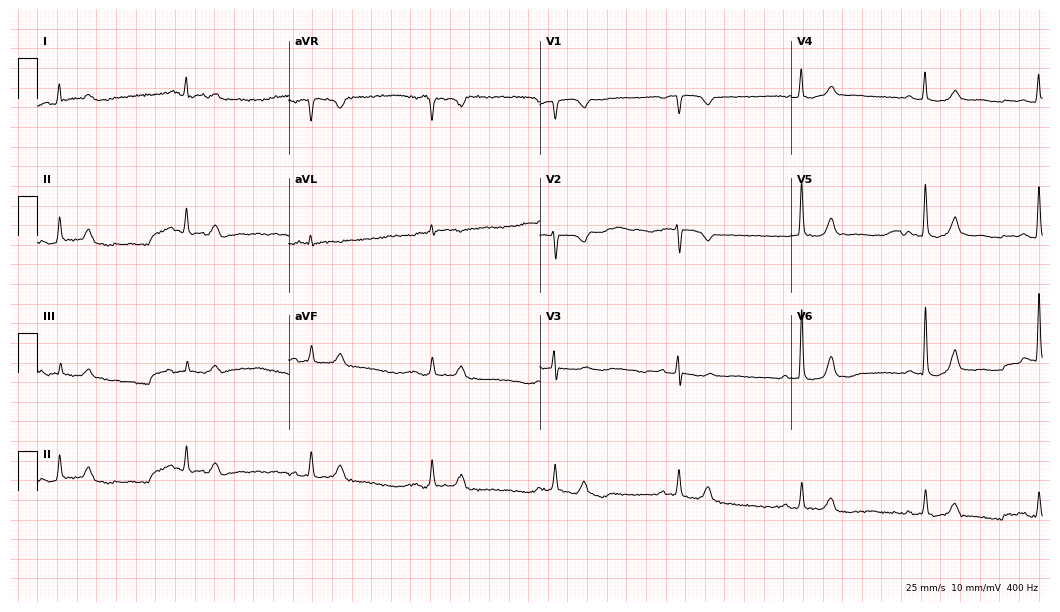
Standard 12-lead ECG recorded from a female patient, 82 years old. The tracing shows sinus bradycardia (a sinus rate of 50 beats per minute or less).